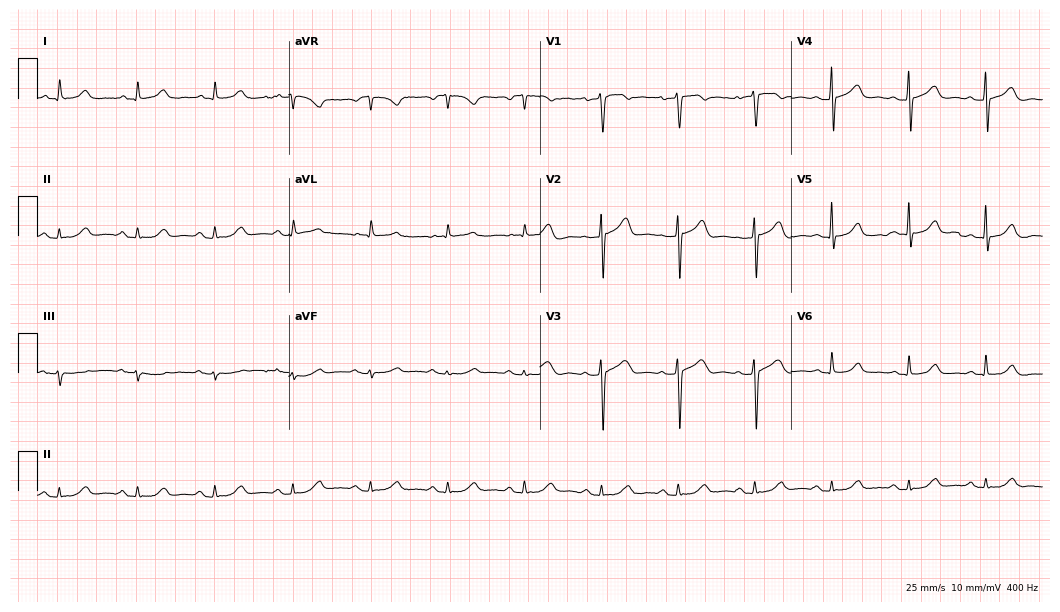
Standard 12-lead ECG recorded from a man, 76 years old. None of these six findings is recorded: first-degree AV block, right bundle branch block (RBBB), left bundle branch block (LBBB), sinus bradycardia, atrial fibrillation (AF), sinus tachycardia. Only these six findings were labelled.